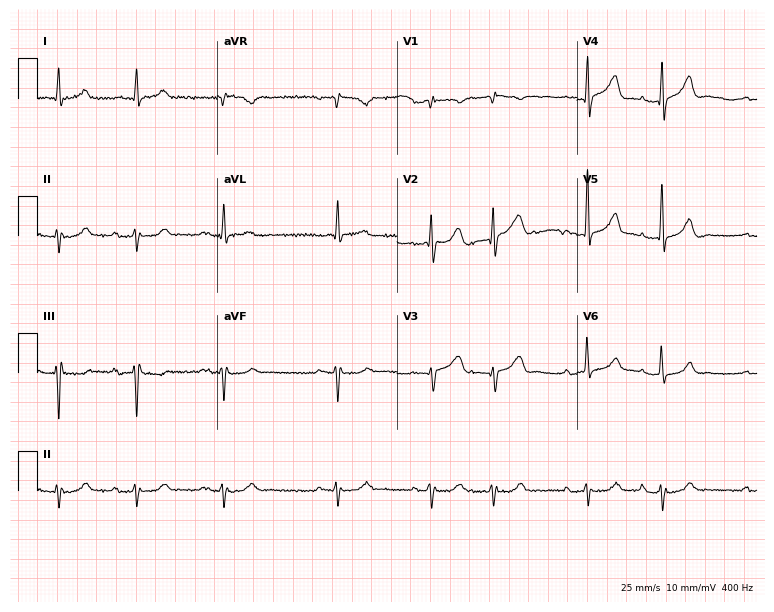
12-lead ECG from an 83-year-old man (7.3-second recording at 400 Hz). No first-degree AV block, right bundle branch block, left bundle branch block, sinus bradycardia, atrial fibrillation or sinus tachycardia recorded for this tracing. Other findings, if any, are not listed.